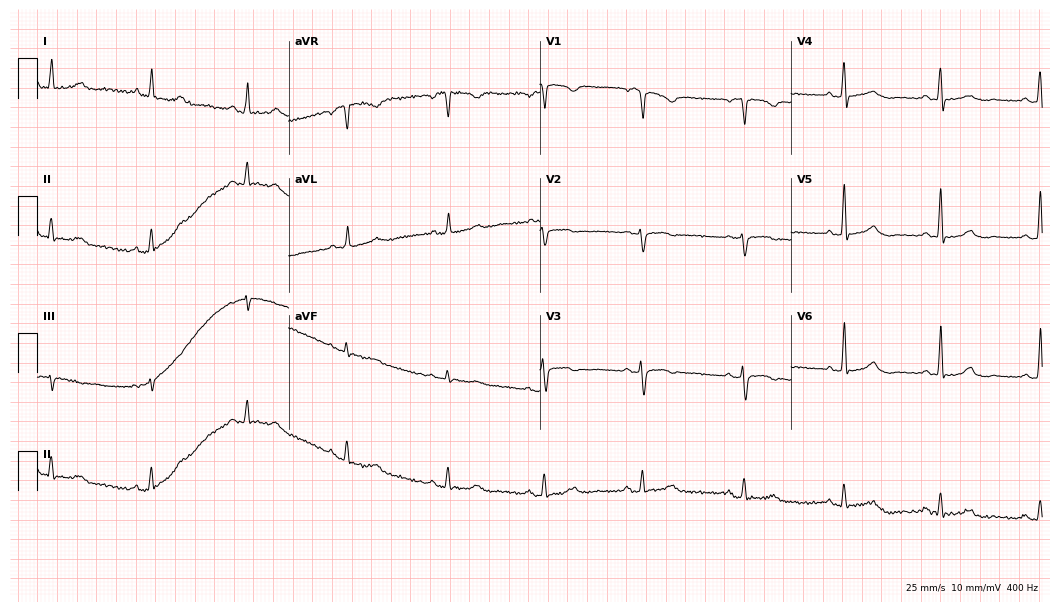
Standard 12-lead ECG recorded from a woman, 62 years old (10.2-second recording at 400 Hz). Read as a normal ECG.